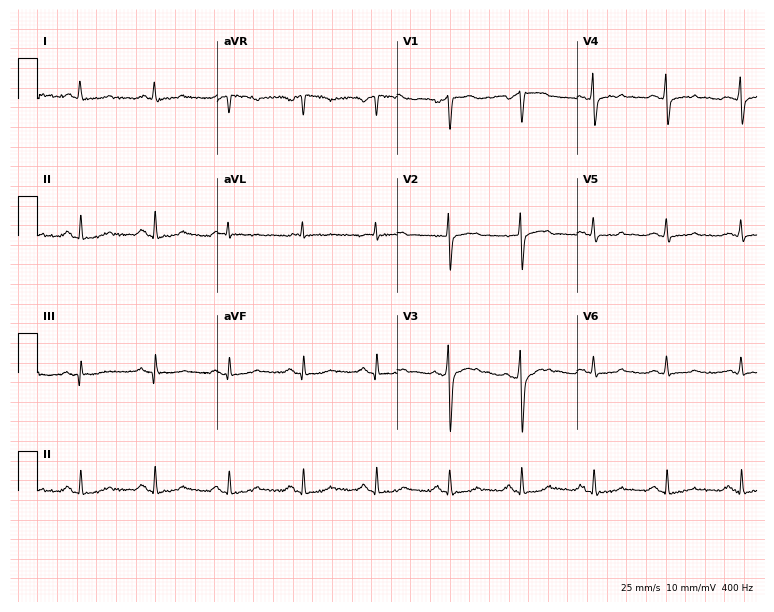
ECG (7.3-second recording at 400 Hz) — a man, 59 years old. Screened for six findings — first-degree AV block, right bundle branch block (RBBB), left bundle branch block (LBBB), sinus bradycardia, atrial fibrillation (AF), sinus tachycardia — none is recorded.